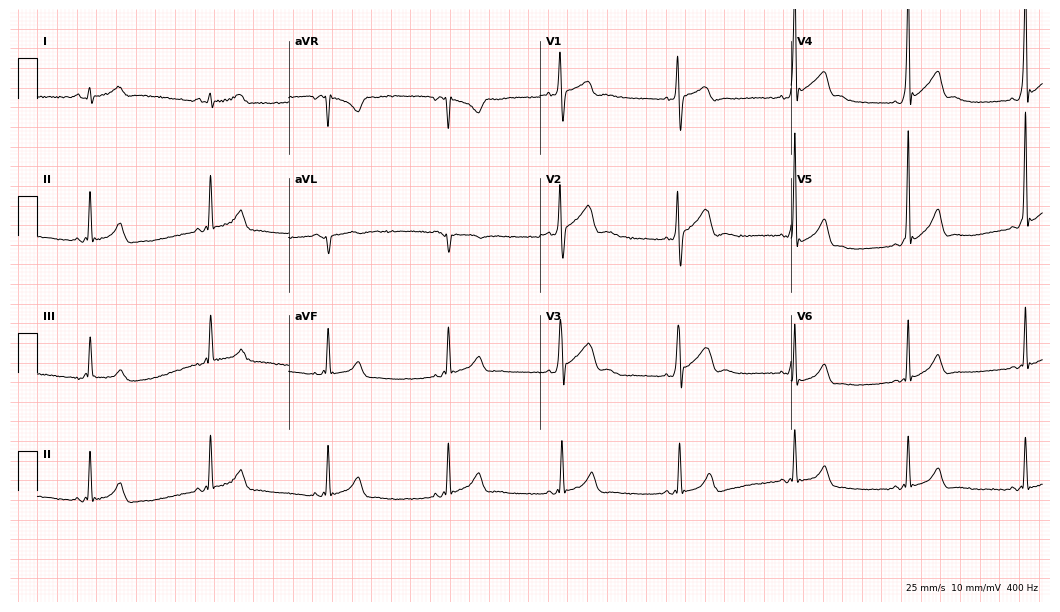
12-lead ECG from a male, 27 years old. No first-degree AV block, right bundle branch block, left bundle branch block, sinus bradycardia, atrial fibrillation or sinus tachycardia recorded for this tracing.